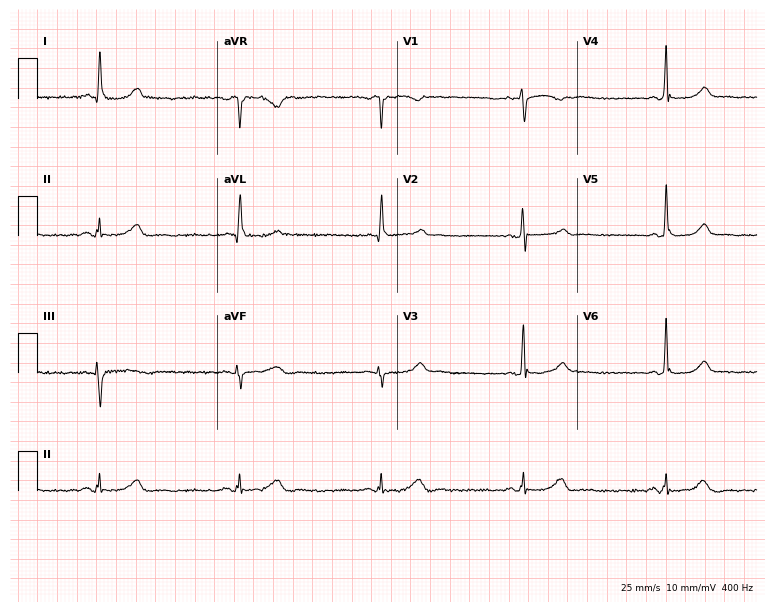
Electrocardiogram (7.3-second recording at 400 Hz), a woman, 62 years old. Of the six screened findings (first-degree AV block, right bundle branch block, left bundle branch block, sinus bradycardia, atrial fibrillation, sinus tachycardia), none is recorded.